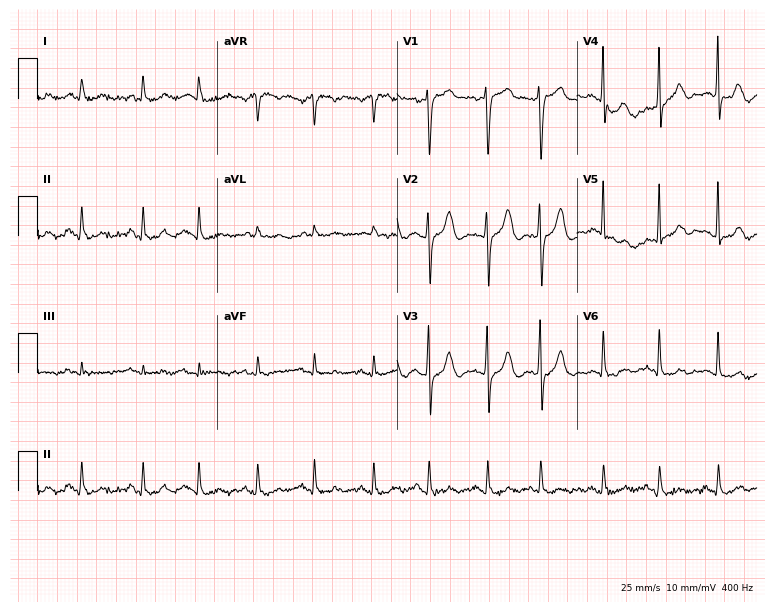
Standard 12-lead ECG recorded from a 69-year-old man. None of these six findings is recorded: first-degree AV block, right bundle branch block, left bundle branch block, sinus bradycardia, atrial fibrillation, sinus tachycardia. Only these six findings were labelled.